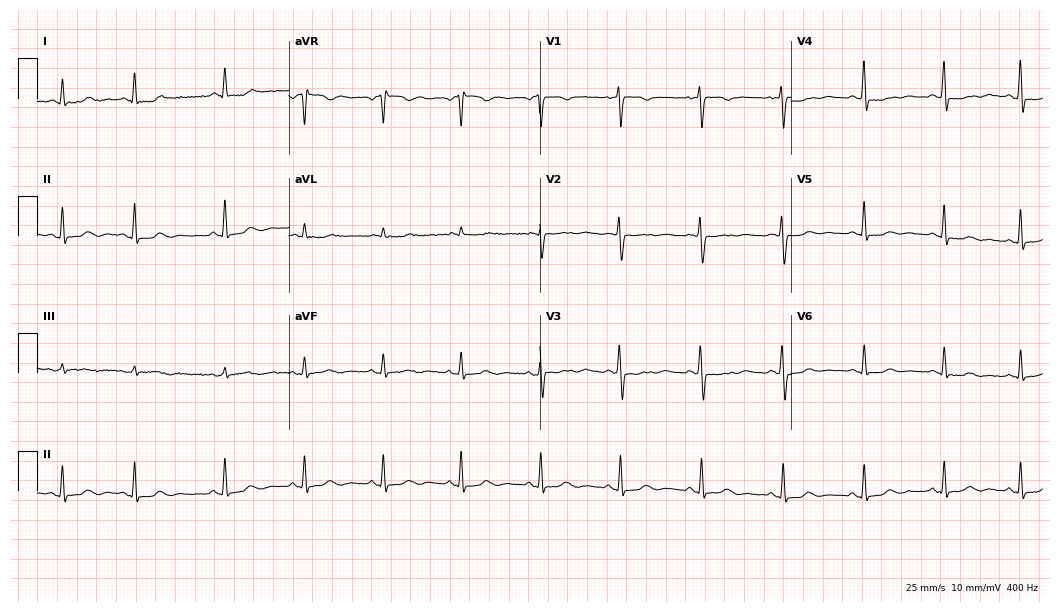
Standard 12-lead ECG recorded from a female patient, 65 years old (10.2-second recording at 400 Hz). None of these six findings is recorded: first-degree AV block, right bundle branch block, left bundle branch block, sinus bradycardia, atrial fibrillation, sinus tachycardia. Only these six findings were labelled.